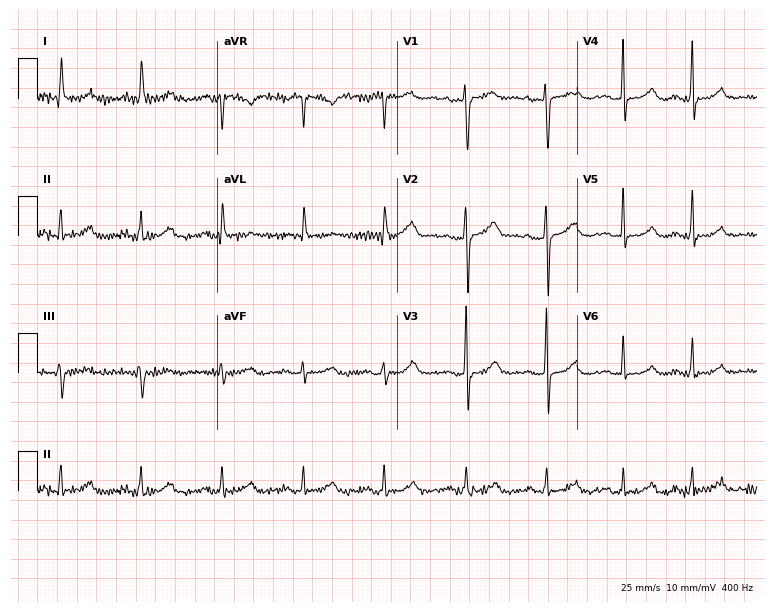
12-lead ECG from a female patient, 67 years old. Labelled as a normal ECG.